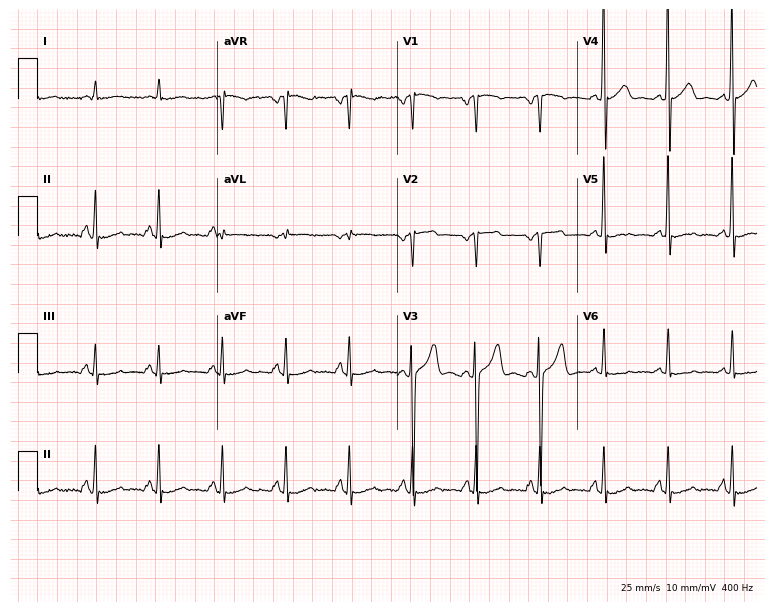
Standard 12-lead ECG recorded from a 62-year-old male patient (7.3-second recording at 400 Hz). Read as a normal ECG.